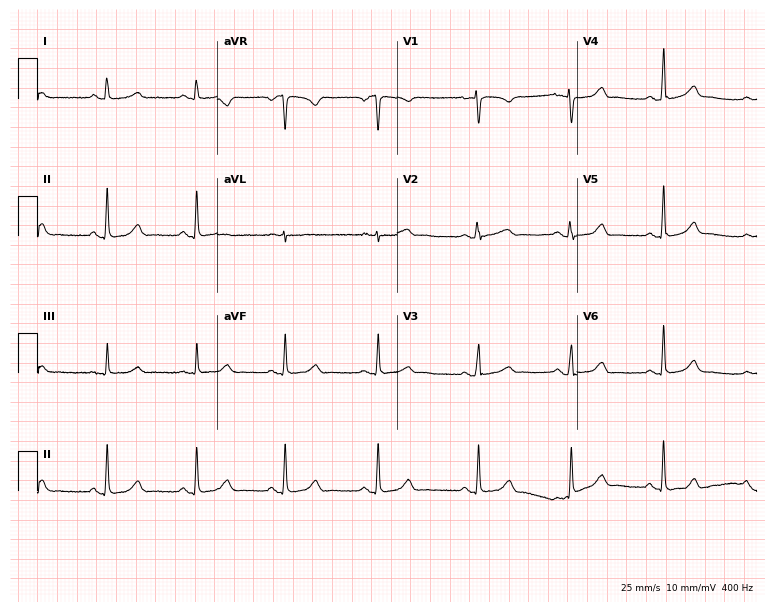
ECG — a 30-year-old woman. Labelled as a normal ECG.